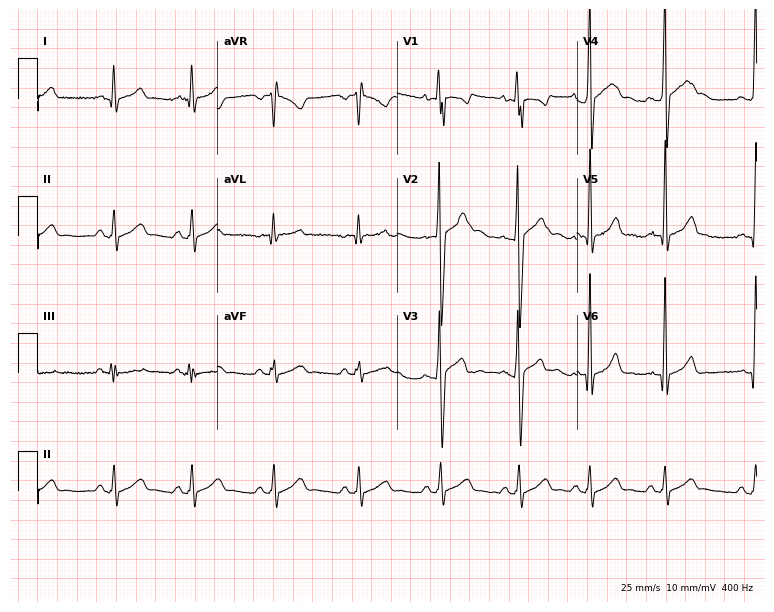
12-lead ECG from an 18-year-old male patient (7.3-second recording at 400 Hz). Recorded interpretation: within normal limits.